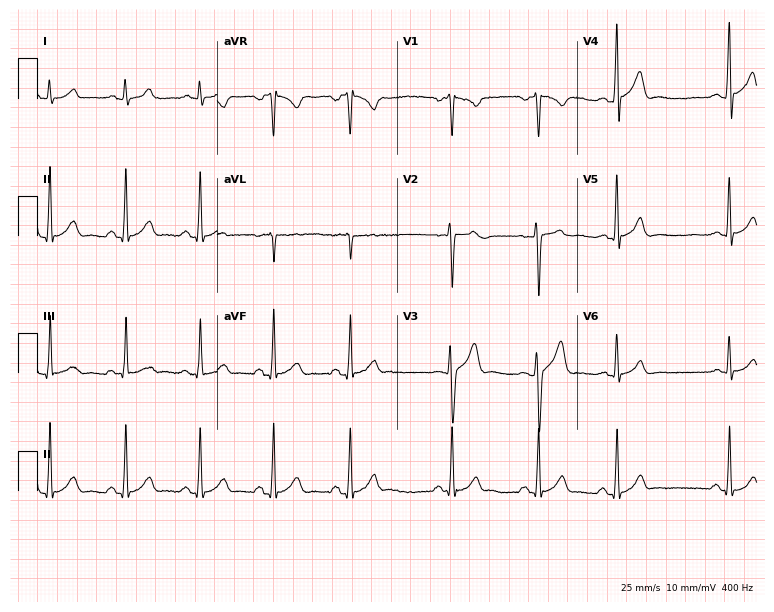
Standard 12-lead ECG recorded from a man, 22 years old. Read as a normal ECG.